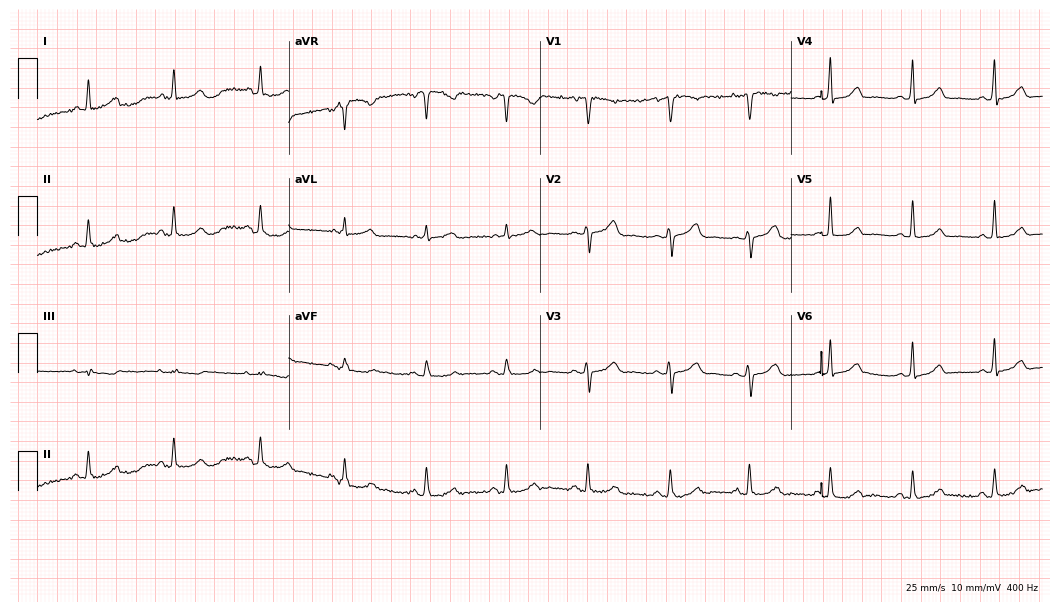
12-lead ECG from a female, 56 years old. Labelled as a normal ECG.